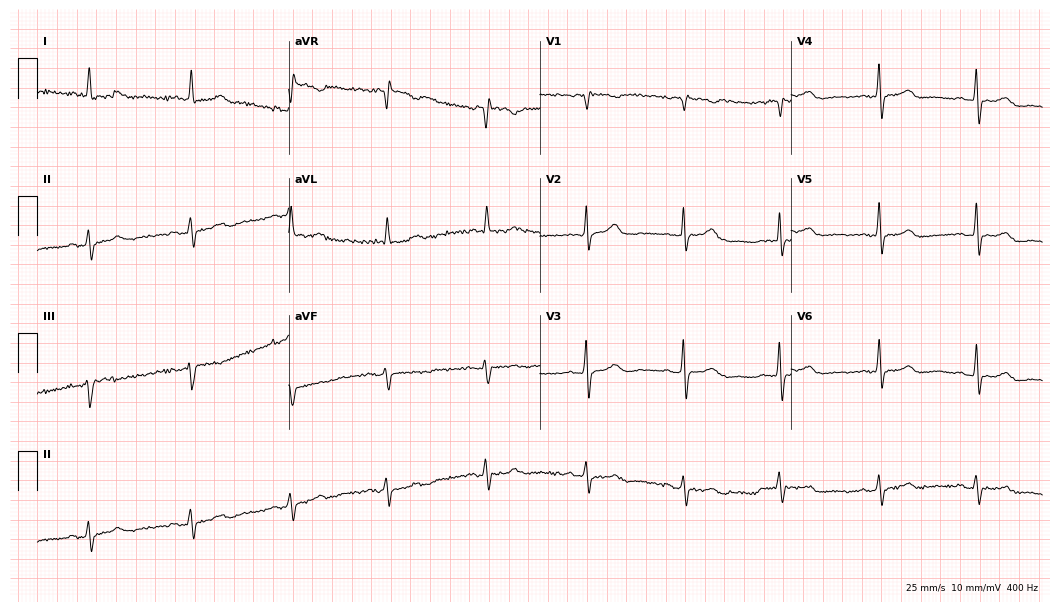
12-lead ECG from a 71-year-old female patient (10.2-second recording at 400 Hz). No first-degree AV block, right bundle branch block (RBBB), left bundle branch block (LBBB), sinus bradycardia, atrial fibrillation (AF) or sinus tachycardia recorded for this tracing. Only these six findings were labelled.